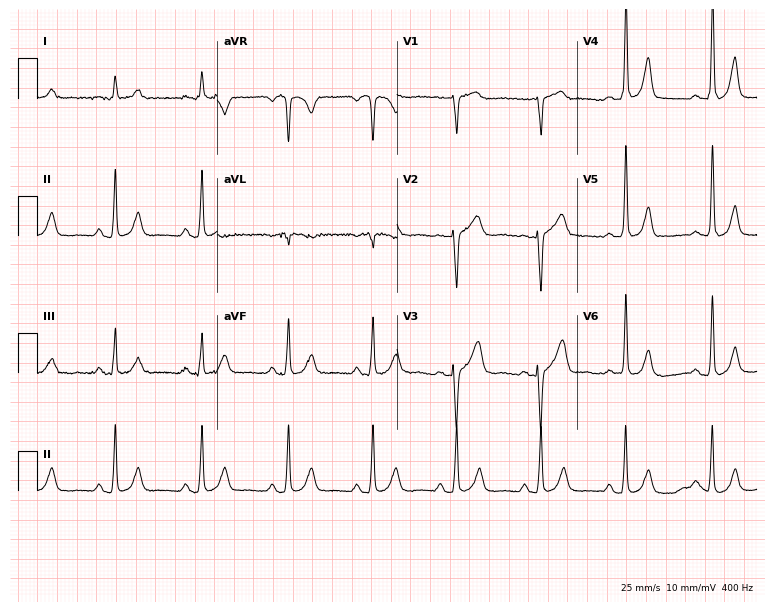
Resting 12-lead electrocardiogram (7.3-second recording at 400 Hz). Patient: a male, 58 years old. None of these six findings is recorded: first-degree AV block, right bundle branch block, left bundle branch block, sinus bradycardia, atrial fibrillation, sinus tachycardia.